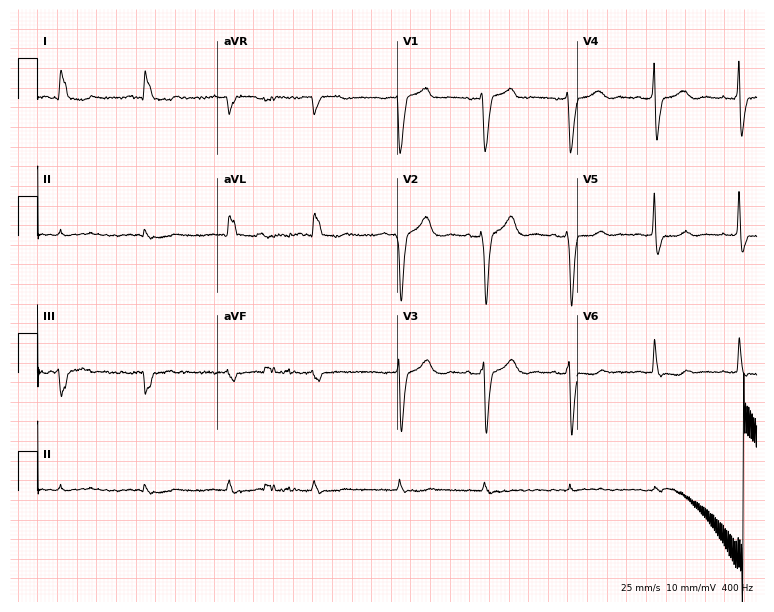
Electrocardiogram (7.3-second recording at 400 Hz), a 71-year-old female. Interpretation includes left bundle branch block.